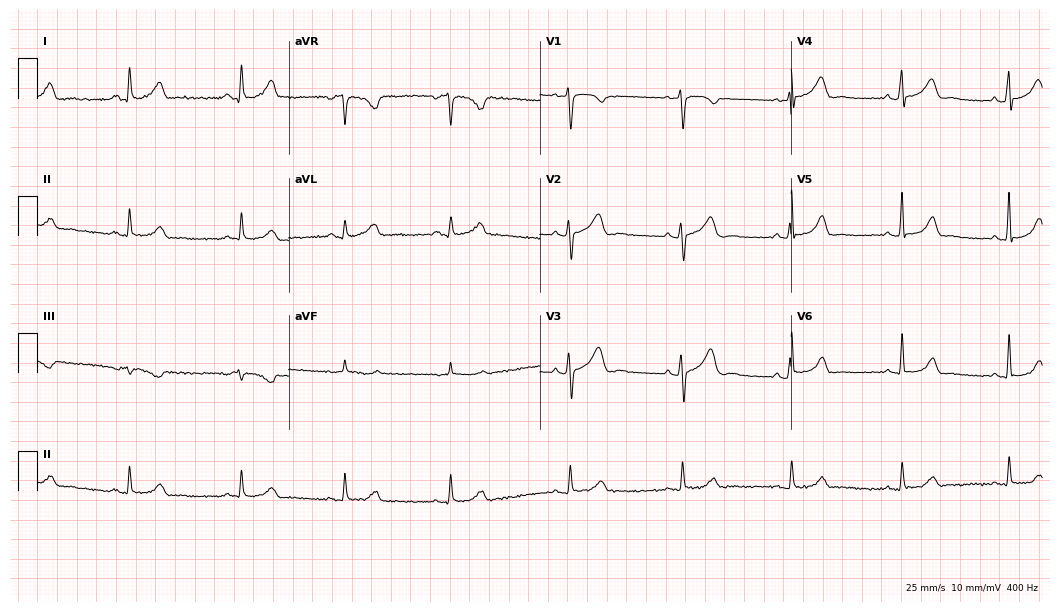
ECG (10.2-second recording at 400 Hz) — a woman, 39 years old. Labelled as a normal ECG.